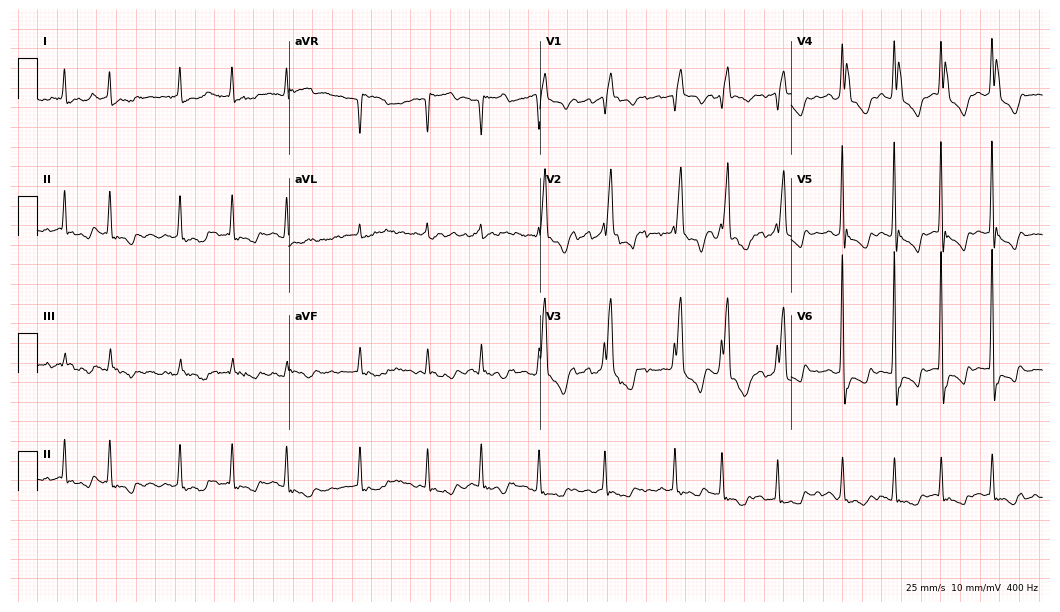
Standard 12-lead ECG recorded from a 77-year-old woman. The tracing shows right bundle branch block (RBBB), atrial fibrillation (AF).